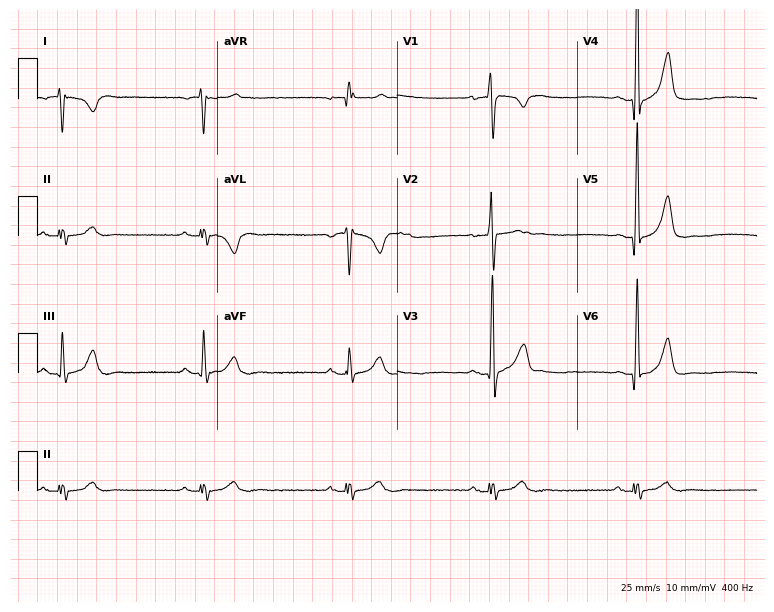
ECG — a 35-year-old man. Findings include sinus bradycardia (a sinus rate of 50 beats per minute or less).